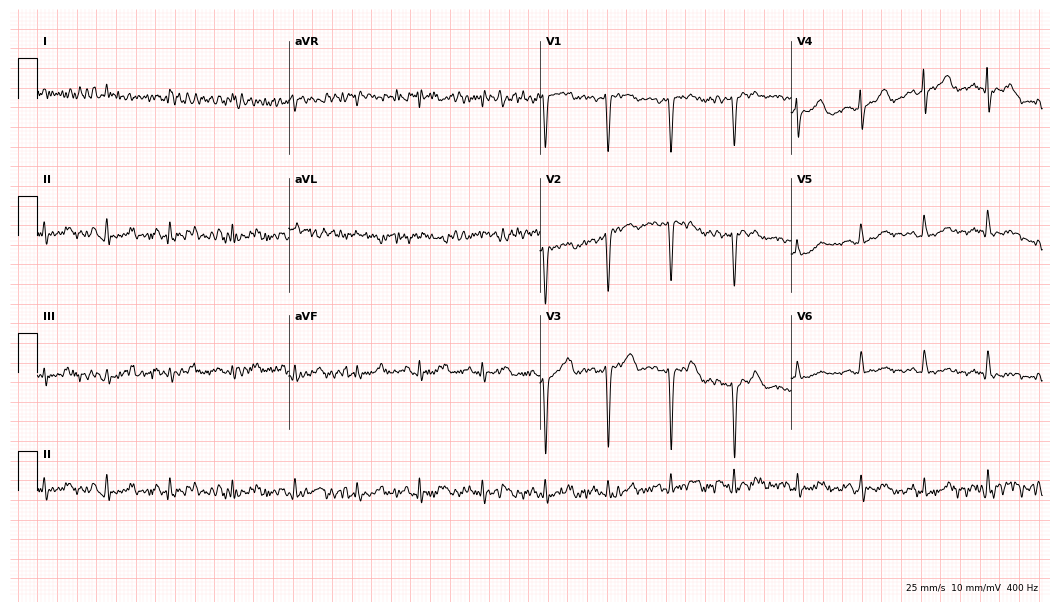
Standard 12-lead ECG recorded from a male patient, 63 years old. None of these six findings is recorded: first-degree AV block, right bundle branch block (RBBB), left bundle branch block (LBBB), sinus bradycardia, atrial fibrillation (AF), sinus tachycardia. Only these six findings were labelled.